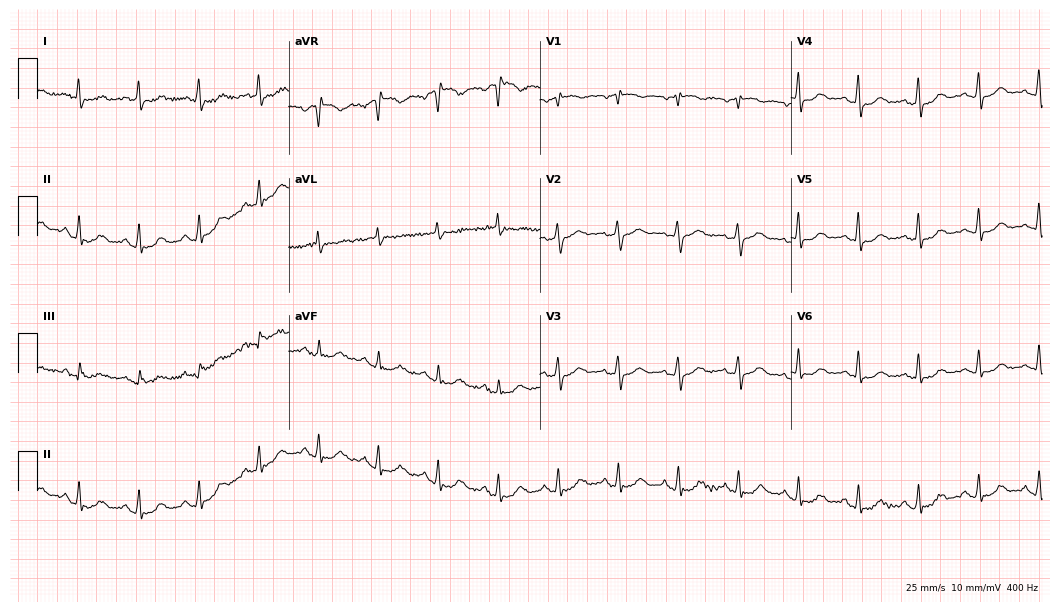
12-lead ECG from a female, 70 years old. Labelled as a normal ECG.